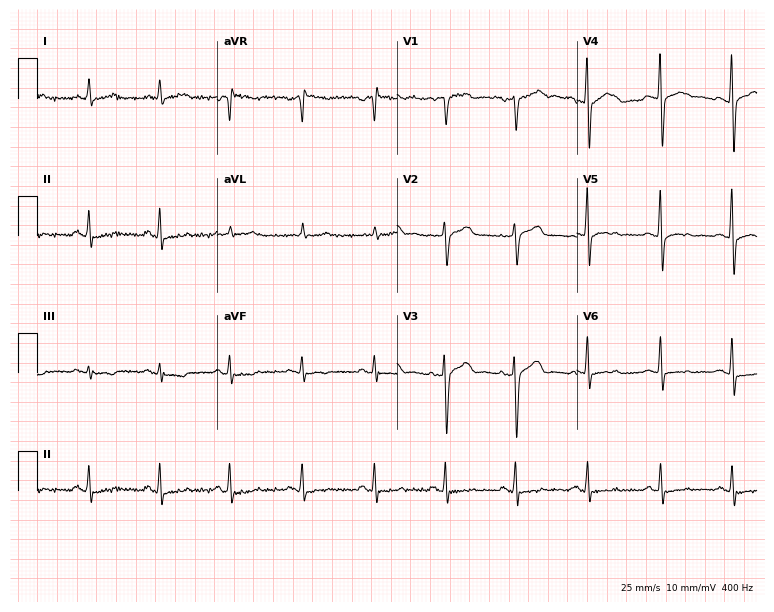
Electrocardiogram, a man, 58 years old. Of the six screened findings (first-degree AV block, right bundle branch block, left bundle branch block, sinus bradycardia, atrial fibrillation, sinus tachycardia), none is recorded. Findings outside these six are not listed.